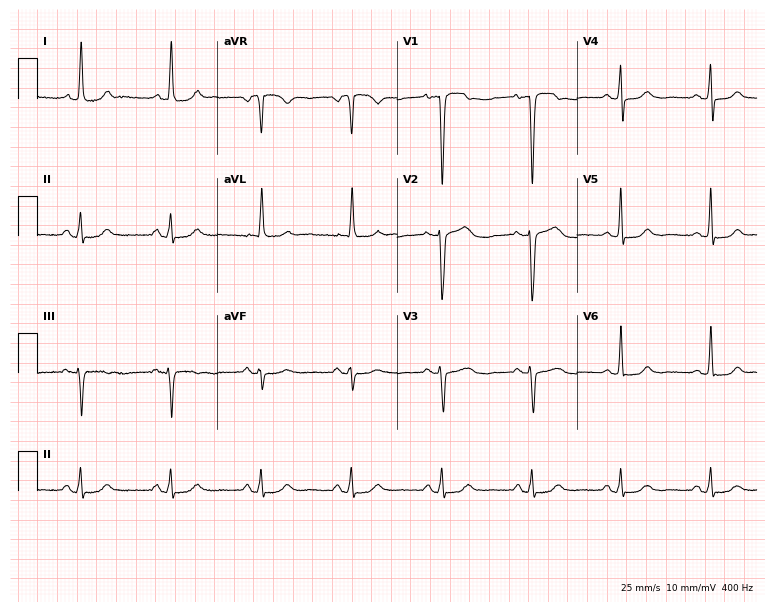
ECG — a 72-year-old woman. Screened for six findings — first-degree AV block, right bundle branch block, left bundle branch block, sinus bradycardia, atrial fibrillation, sinus tachycardia — none is recorded. Only these six findings were labelled.